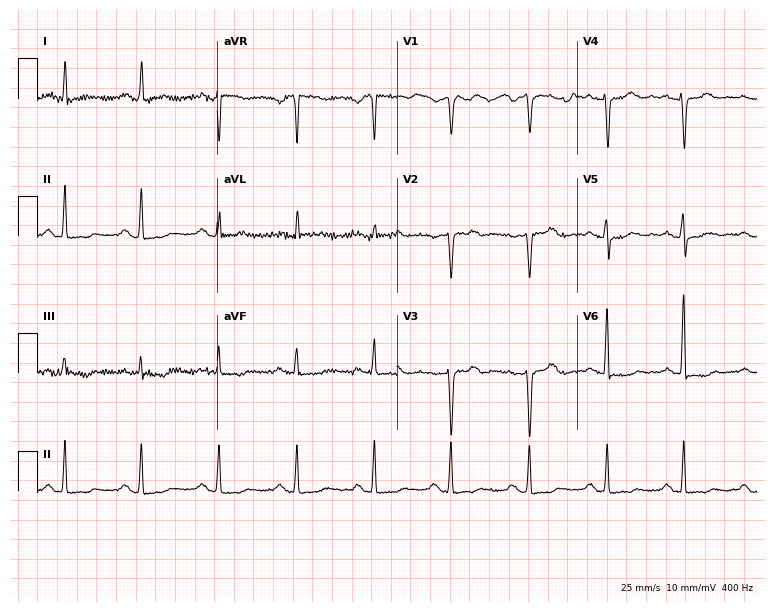
12-lead ECG (7.3-second recording at 400 Hz) from a 75-year-old female patient. Screened for six findings — first-degree AV block, right bundle branch block (RBBB), left bundle branch block (LBBB), sinus bradycardia, atrial fibrillation (AF), sinus tachycardia — none is recorded. Other findings, if any, are not listed.